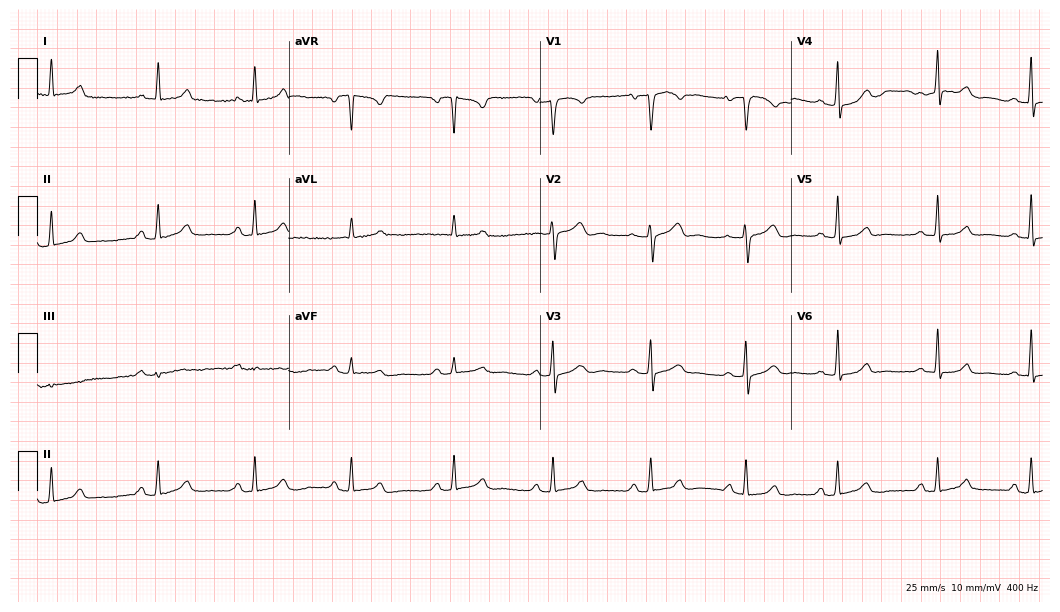
12-lead ECG from a woman, 44 years old. Recorded interpretation: within normal limits.